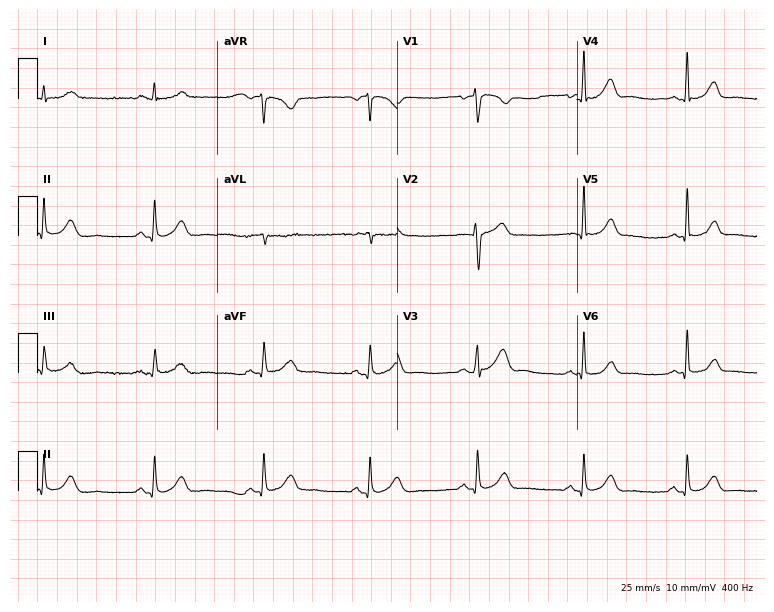
12-lead ECG (7.3-second recording at 400 Hz) from a 51-year-old man. Labelled as a normal ECG.